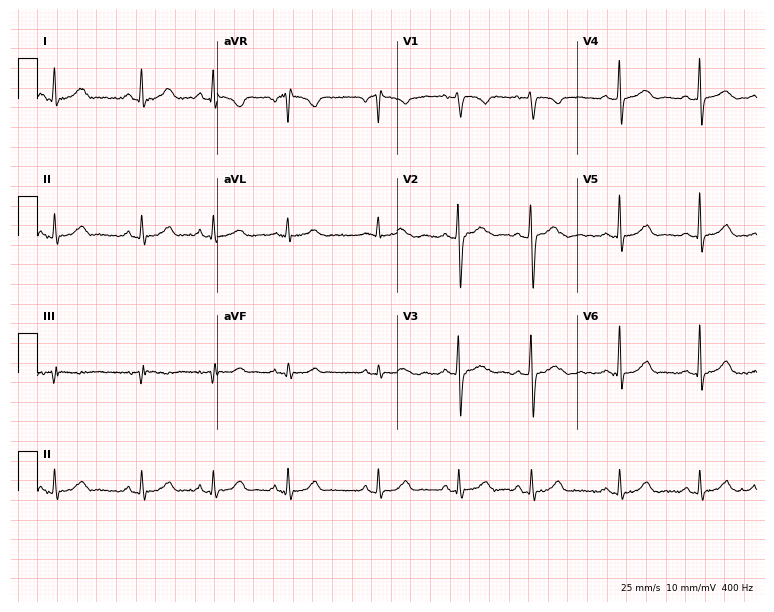
Electrocardiogram, a 30-year-old female. Of the six screened findings (first-degree AV block, right bundle branch block (RBBB), left bundle branch block (LBBB), sinus bradycardia, atrial fibrillation (AF), sinus tachycardia), none is recorded. Other findings, if any, are not listed.